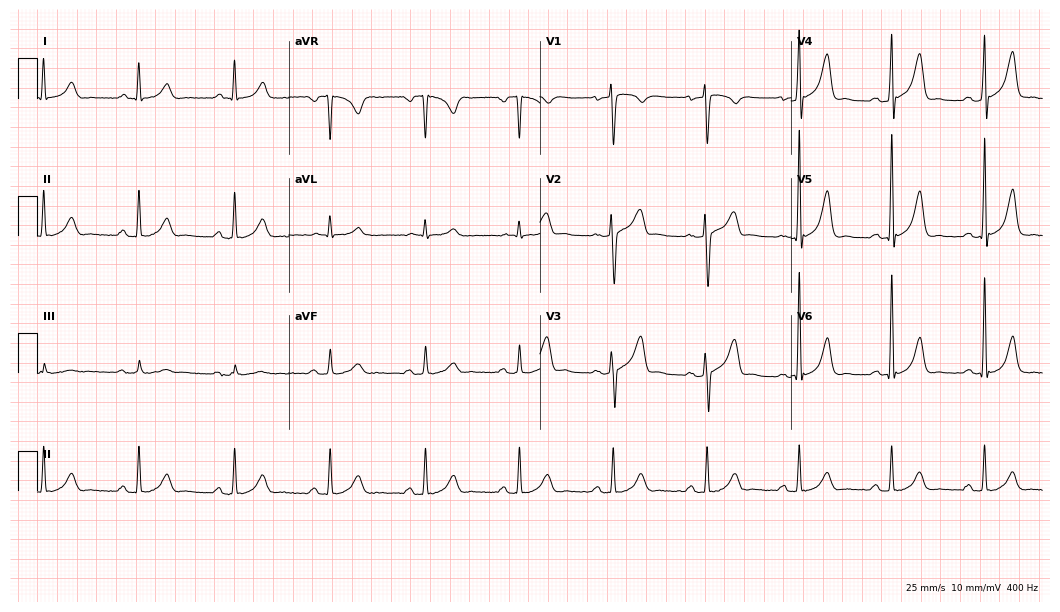
Resting 12-lead electrocardiogram. Patient: a man, 60 years old. Read as a normal ECG.